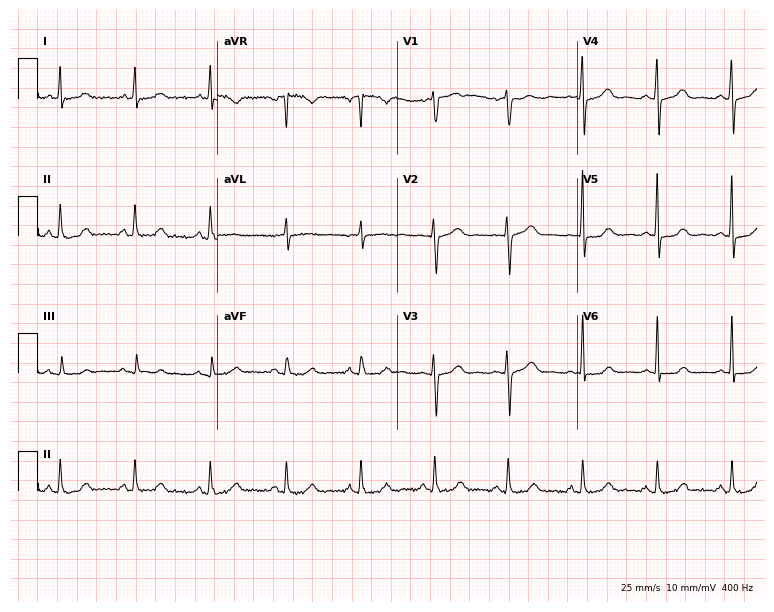
12-lead ECG from a 55-year-old woman. Recorded interpretation: within normal limits.